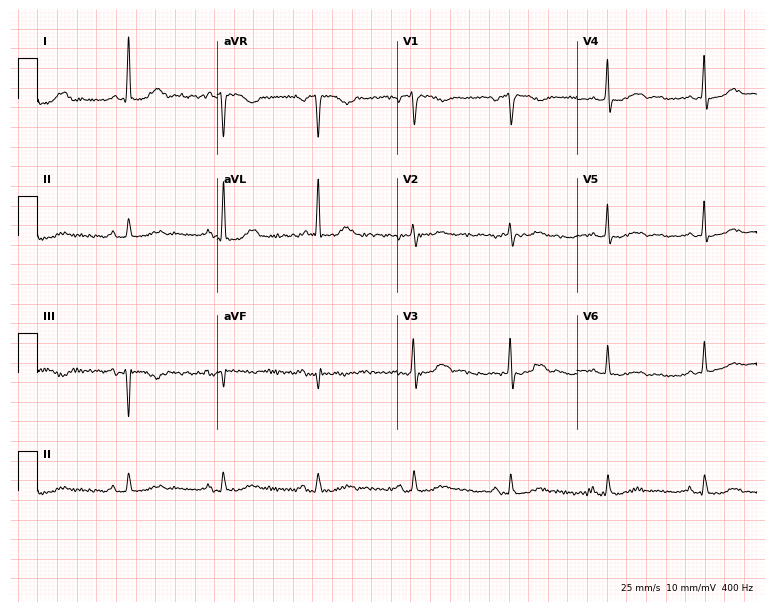
Electrocardiogram, a female, 82 years old. Of the six screened findings (first-degree AV block, right bundle branch block, left bundle branch block, sinus bradycardia, atrial fibrillation, sinus tachycardia), none is recorded.